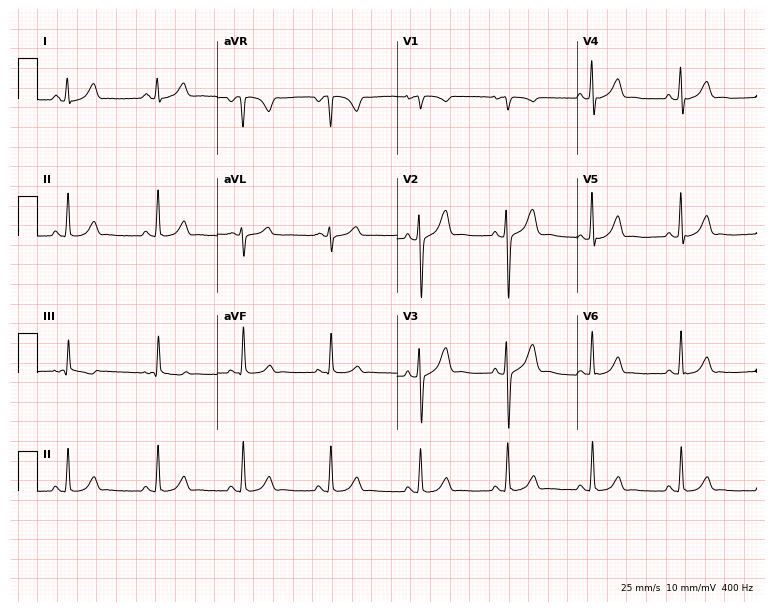
ECG (7.3-second recording at 400 Hz) — a female patient, 19 years old. Screened for six findings — first-degree AV block, right bundle branch block (RBBB), left bundle branch block (LBBB), sinus bradycardia, atrial fibrillation (AF), sinus tachycardia — none is recorded. Findings outside these six are not listed.